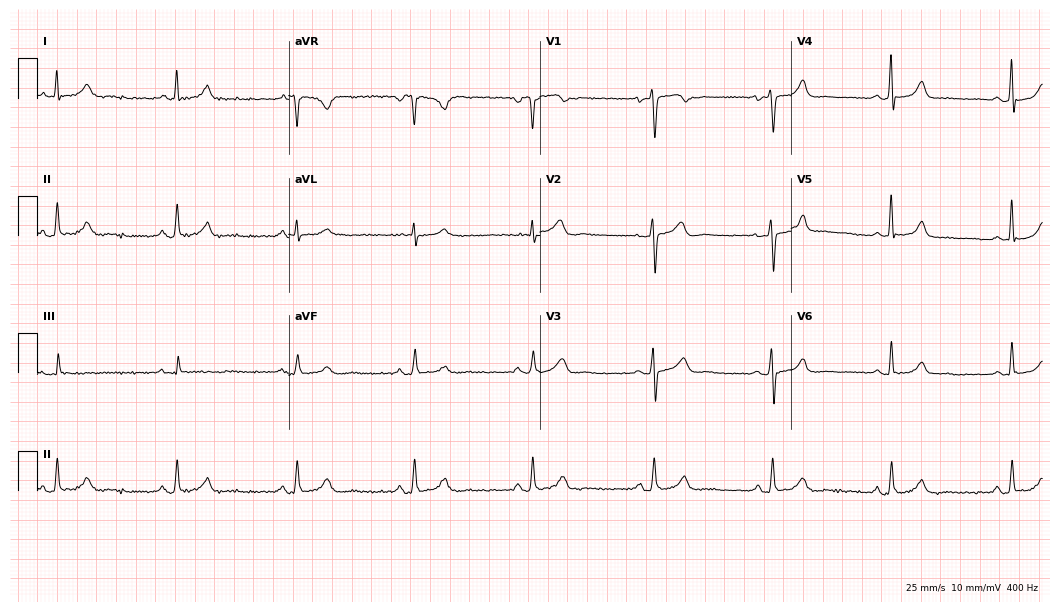
Standard 12-lead ECG recorded from a 50-year-old female (10.2-second recording at 400 Hz). None of these six findings is recorded: first-degree AV block, right bundle branch block, left bundle branch block, sinus bradycardia, atrial fibrillation, sinus tachycardia. Only these six findings were labelled.